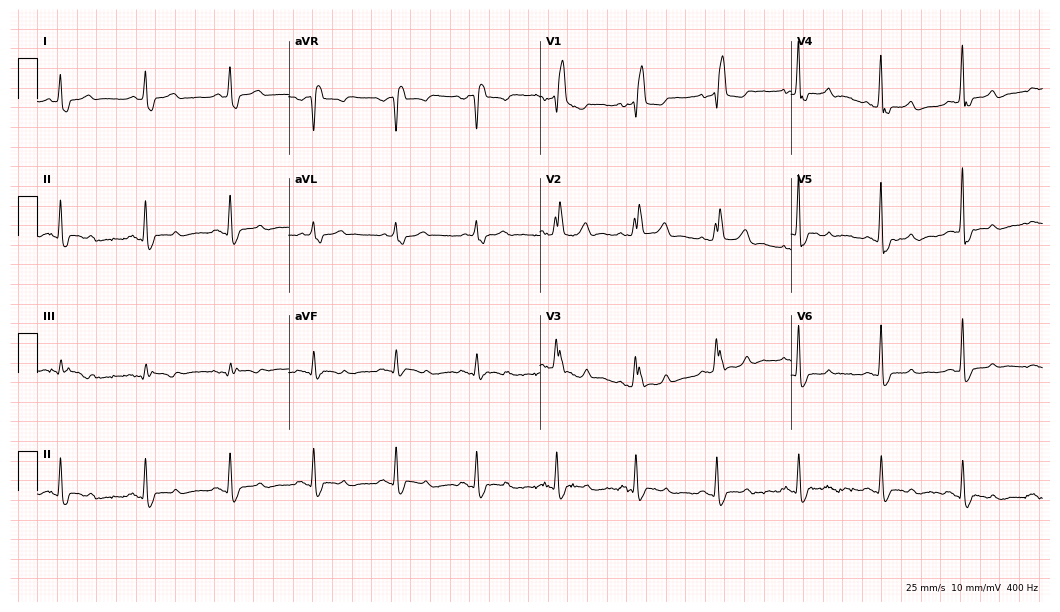
Standard 12-lead ECG recorded from a male, 66 years old (10.2-second recording at 400 Hz). The tracing shows right bundle branch block.